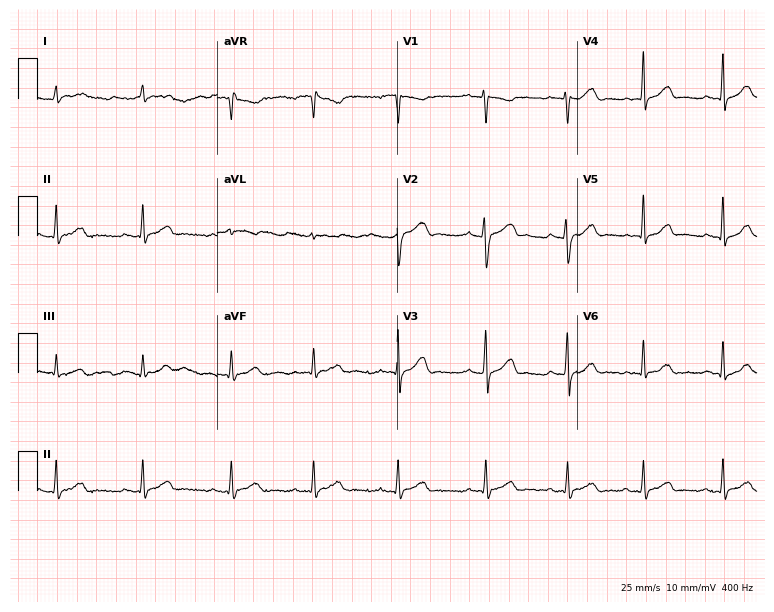
12-lead ECG from a female, 21 years old. Screened for six findings — first-degree AV block, right bundle branch block (RBBB), left bundle branch block (LBBB), sinus bradycardia, atrial fibrillation (AF), sinus tachycardia — none is recorded. Other findings, if any, are not listed.